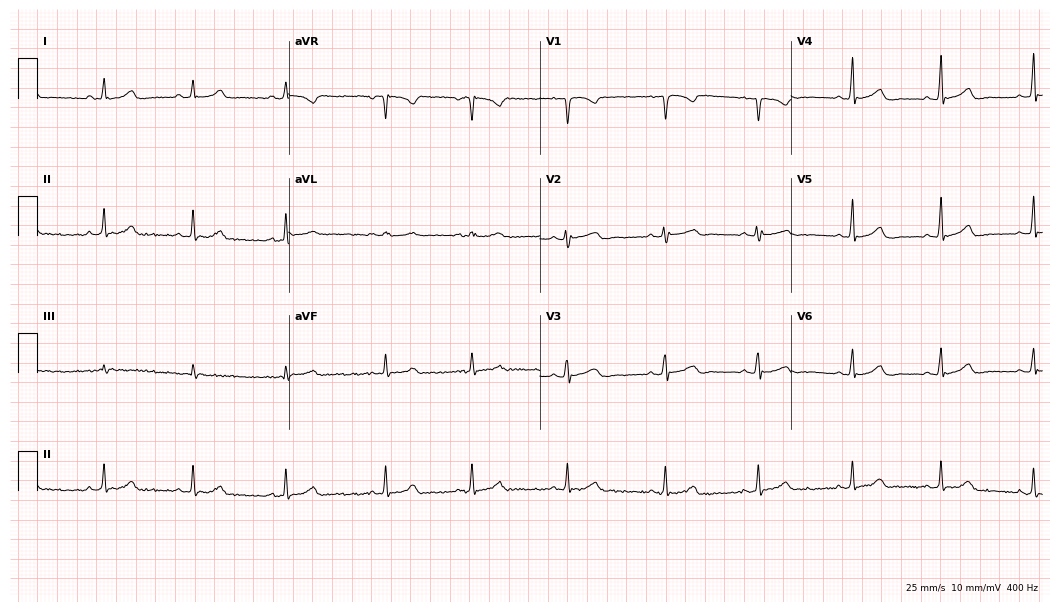
12-lead ECG (10.2-second recording at 400 Hz) from a 21-year-old female. Labelled as a normal ECG.